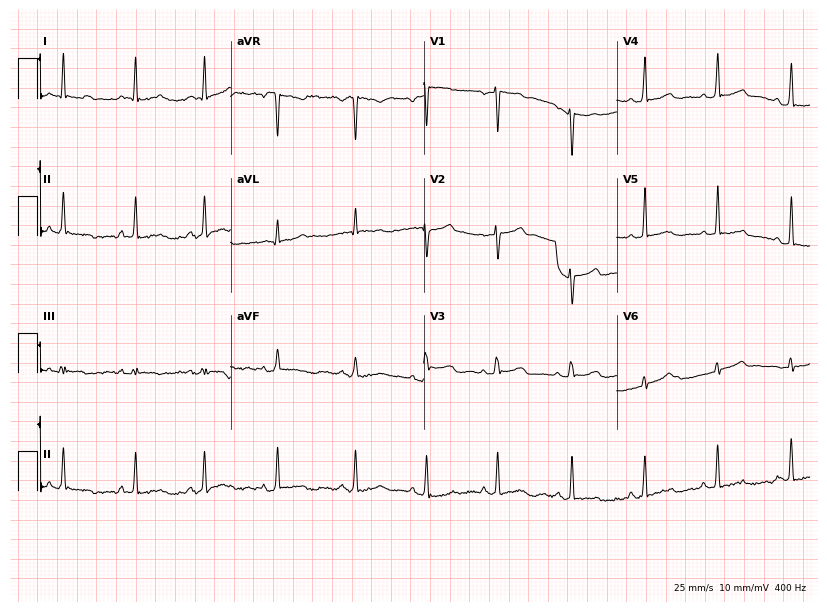
ECG — a 35-year-old woman. Labelled as a normal ECG.